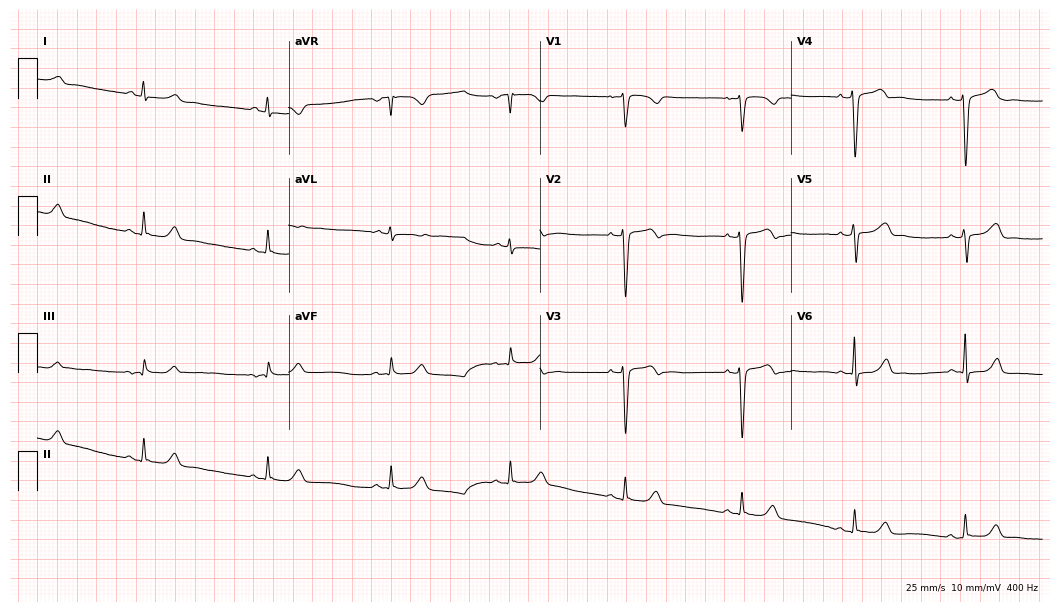
ECG — a 27-year-old female. Screened for six findings — first-degree AV block, right bundle branch block, left bundle branch block, sinus bradycardia, atrial fibrillation, sinus tachycardia — none is recorded.